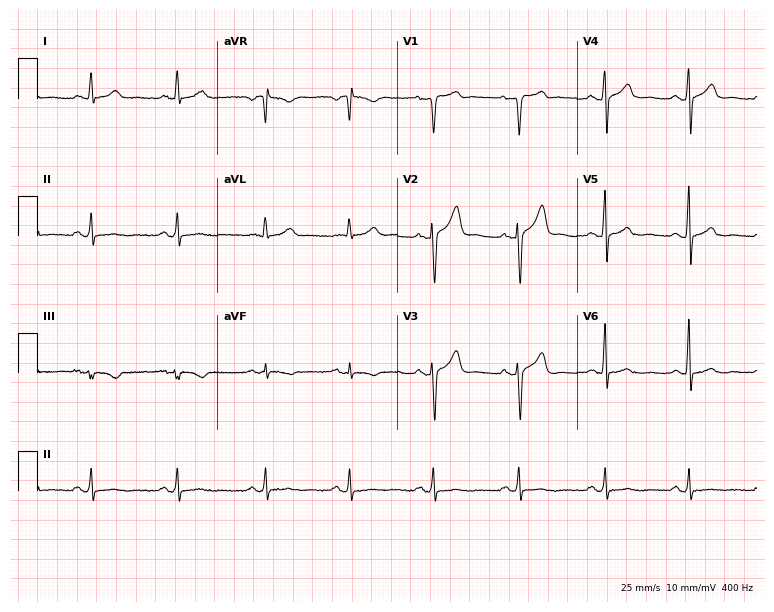
12-lead ECG from a male patient, 60 years old. No first-degree AV block, right bundle branch block (RBBB), left bundle branch block (LBBB), sinus bradycardia, atrial fibrillation (AF) or sinus tachycardia recorded for this tracing.